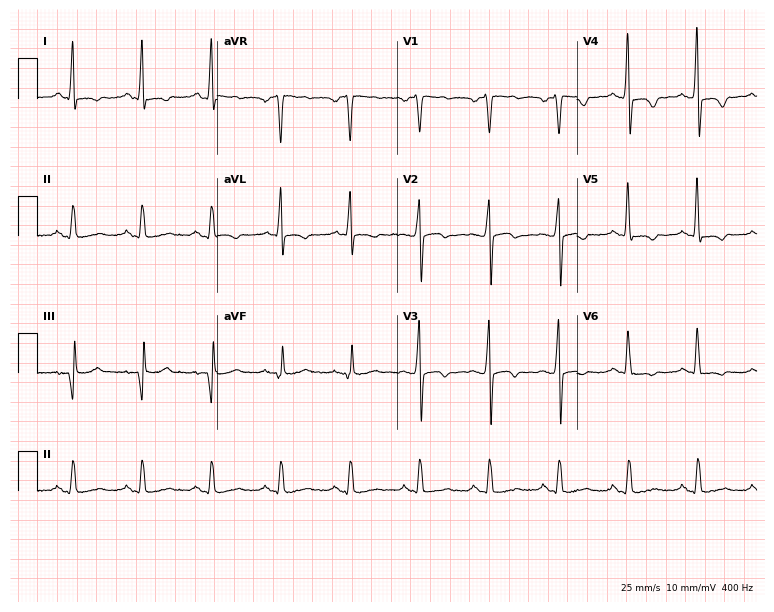
12-lead ECG from a male patient, 51 years old. Screened for six findings — first-degree AV block, right bundle branch block, left bundle branch block, sinus bradycardia, atrial fibrillation, sinus tachycardia — none is recorded. Other findings, if any, are not listed.